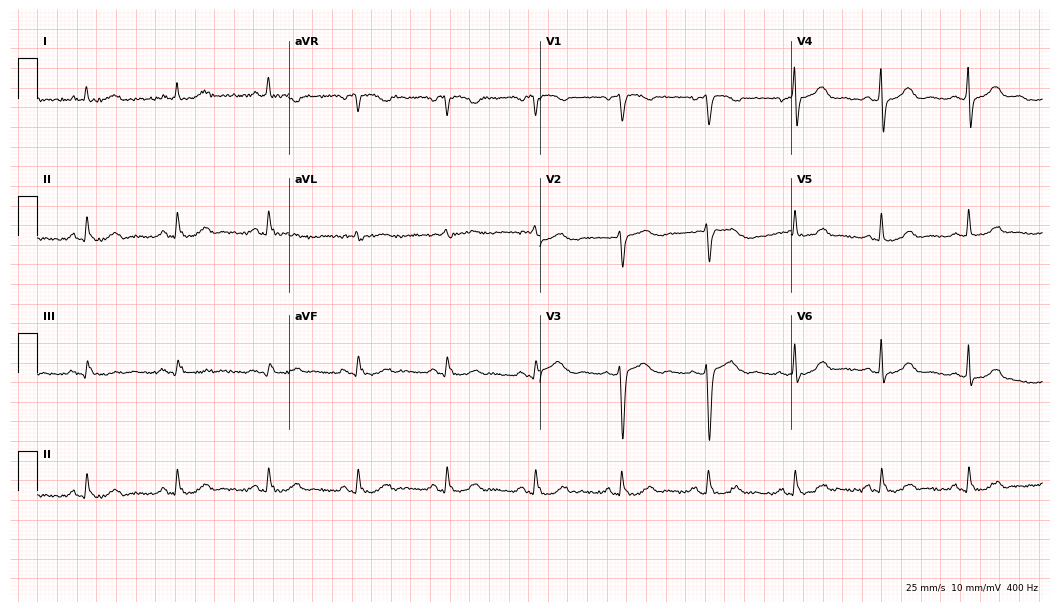
Standard 12-lead ECG recorded from a 59-year-old female patient (10.2-second recording at 400 Hz). Read as a normal ECG.